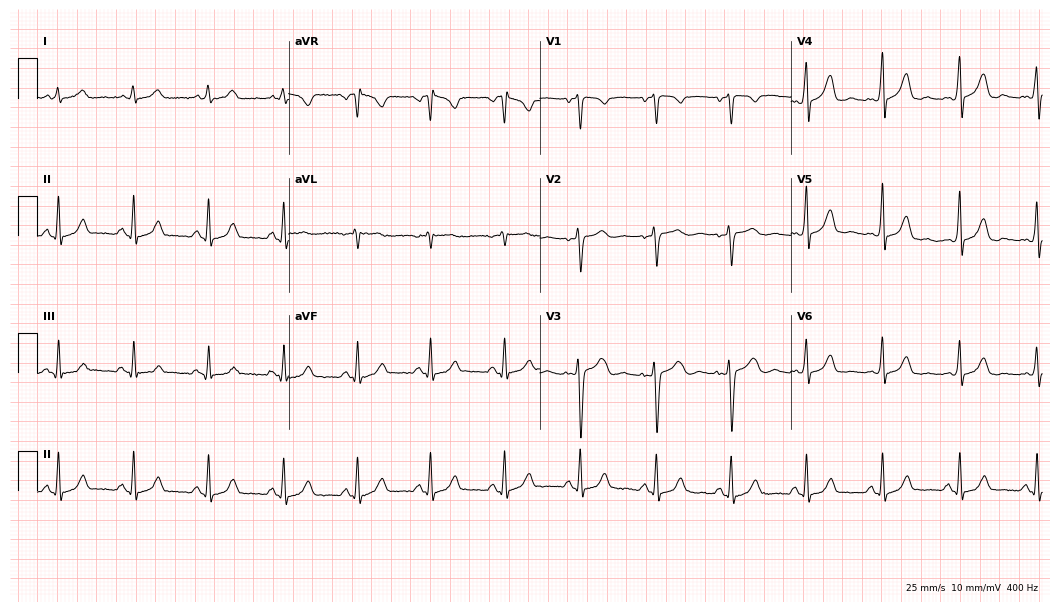
Resting 12-lead electrocardiogram. Patient: a female, 44 years old. Read as a normal ECG.